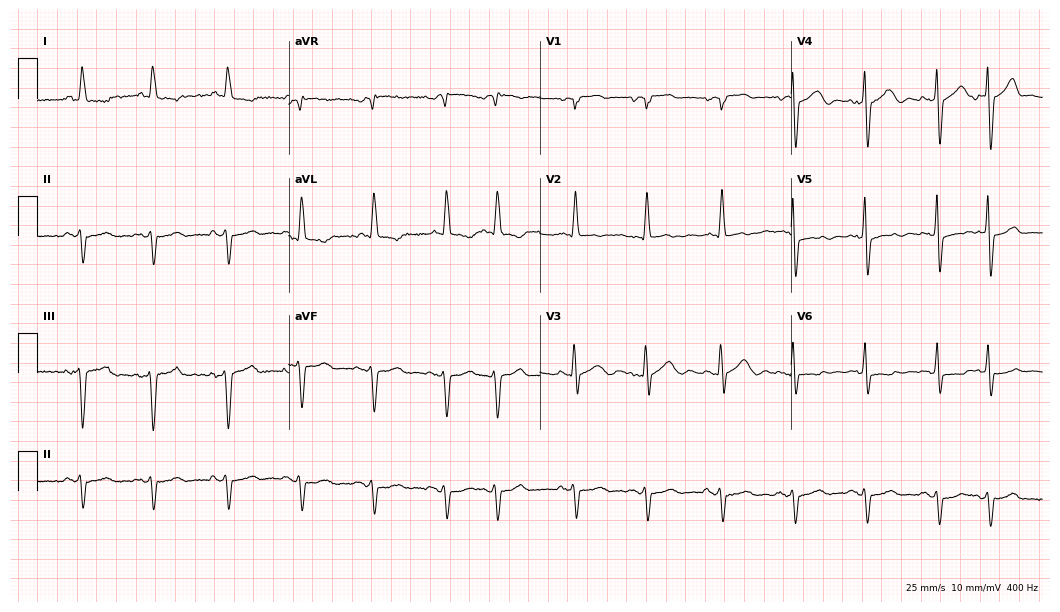
12-lead ECG from a man, 74 years old. No first-degree AV block, right bundle branch block, left bundle branch block, sinus bradycardia, atrial fibrillation or sinus tachycardia recorded for this tracing. Findings outside these six are not listed.